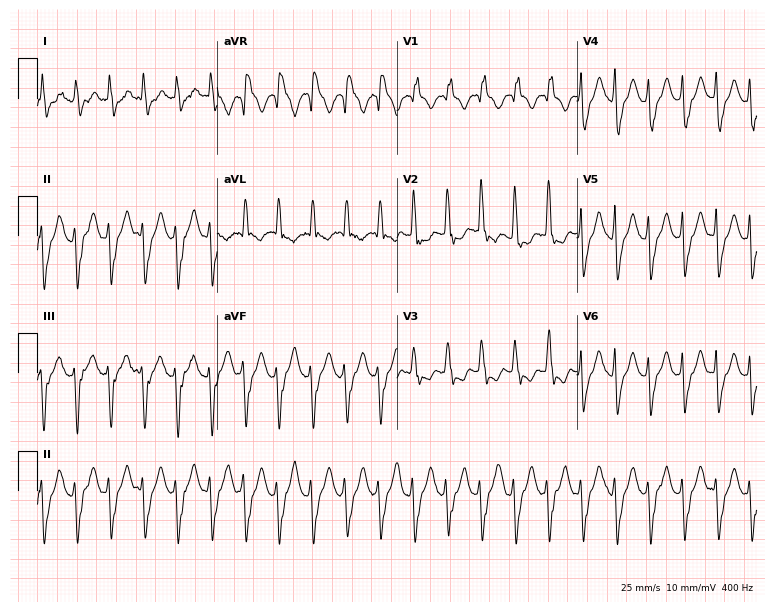
12-lead ECG (7.3-second recording at 400 Hz) from a 34-year-old female. Findings include sinus tachycardia (a sinus rate of 100 beats per minute or more).